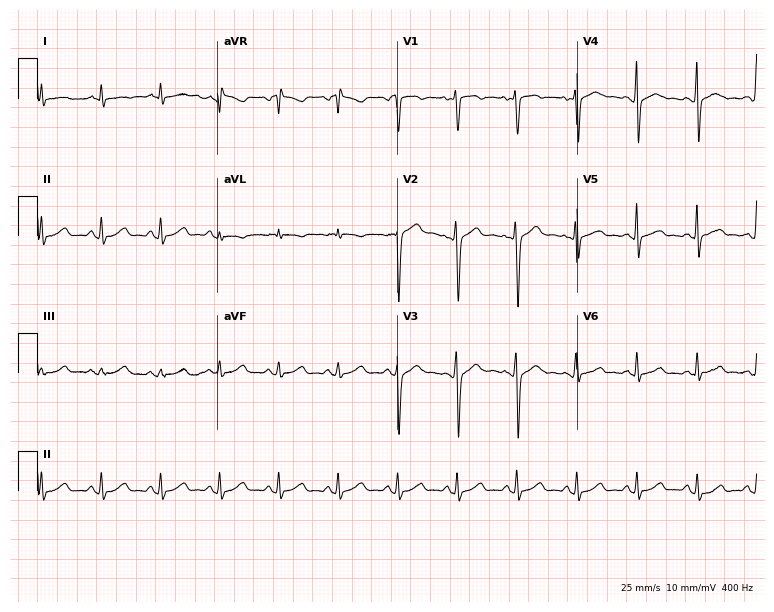
Standard 12-lead ECG recorded from a man, 51 years old (7.3-second recording at 400 Hz). Read as a normal ECG.